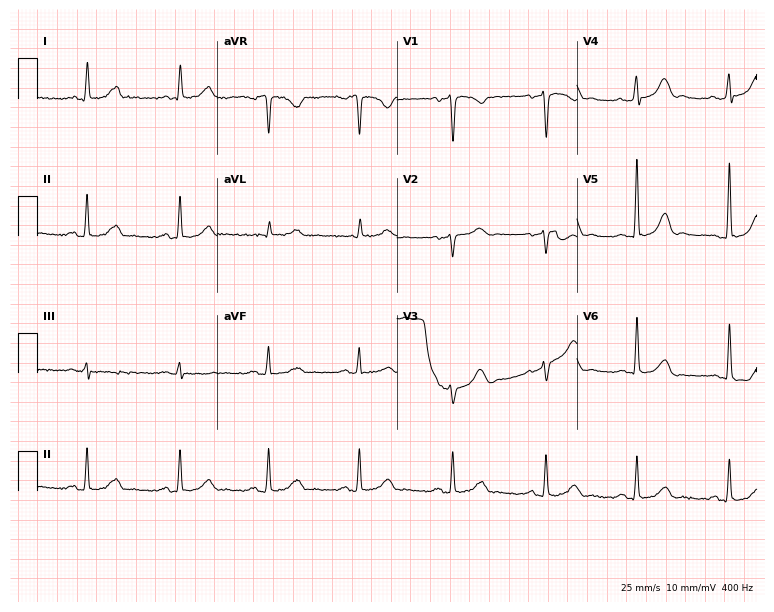
Standard 12-lead ECG recorded from a female patient, 44 years old. None of these six findings is recorded: first-degree AV block, right bundle branch block, left bundle branch block, sinus bradycardia, atrial fibrillation, sinus tachycardia. Only these six findings were labelled.